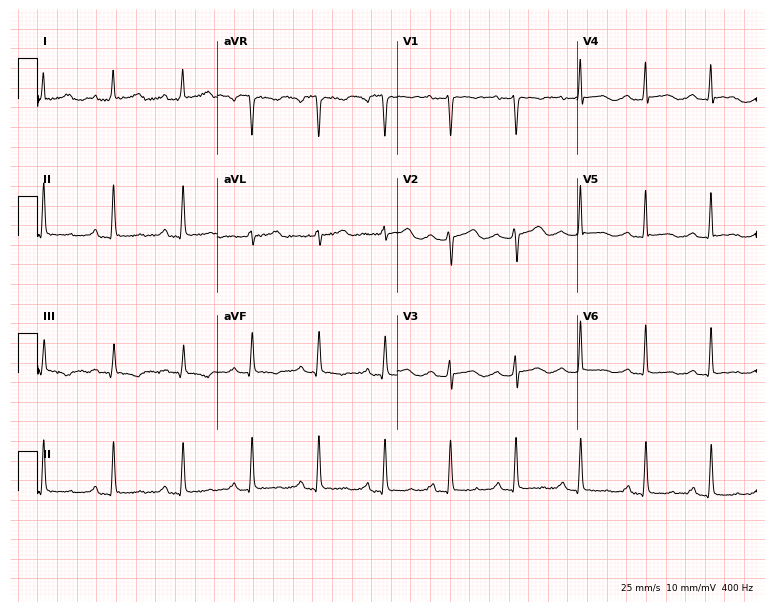
Resting 12-lead electrocardiogram (7.3-second recording at 400 Hz). Patient: a female, 31 years old. None of these six findings is recorded: first-degree AV block, right bundle branch block, left bundle branch block, sinus bradycardia, atrial fibrillation, sinus tachycardia.